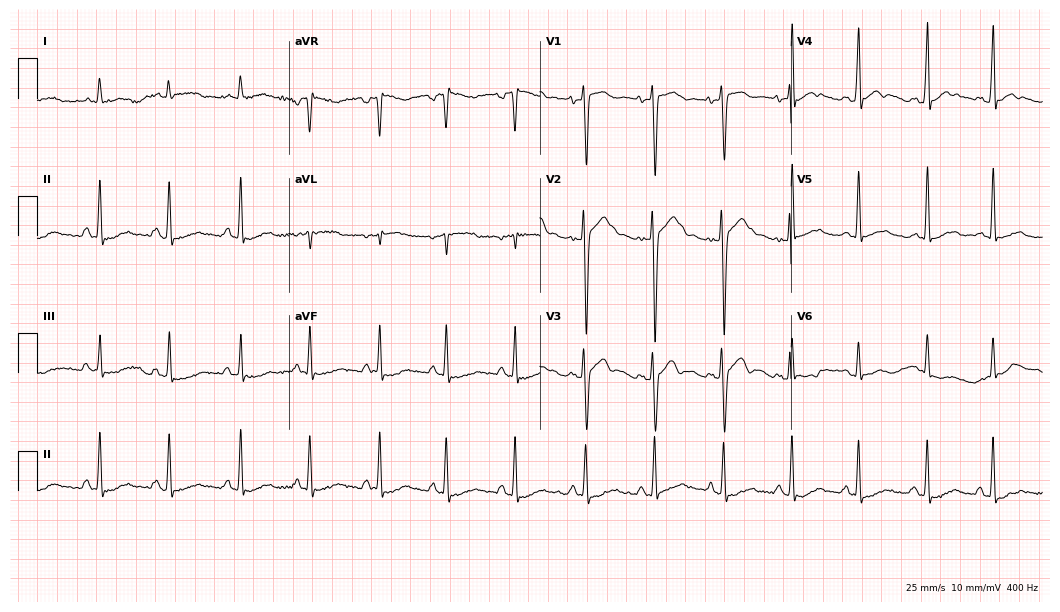
Resting 12-lead electrocardiogram. Patient: a 22-year-old male. None of these six findings is recorded: first-degree AV block, right bundle branch block (RBBB), left bundle branch block (LBBB), sinus bradycardia, atrial fibrillation (AF), sinus tachycardia. Other findings, if any, are not listed.